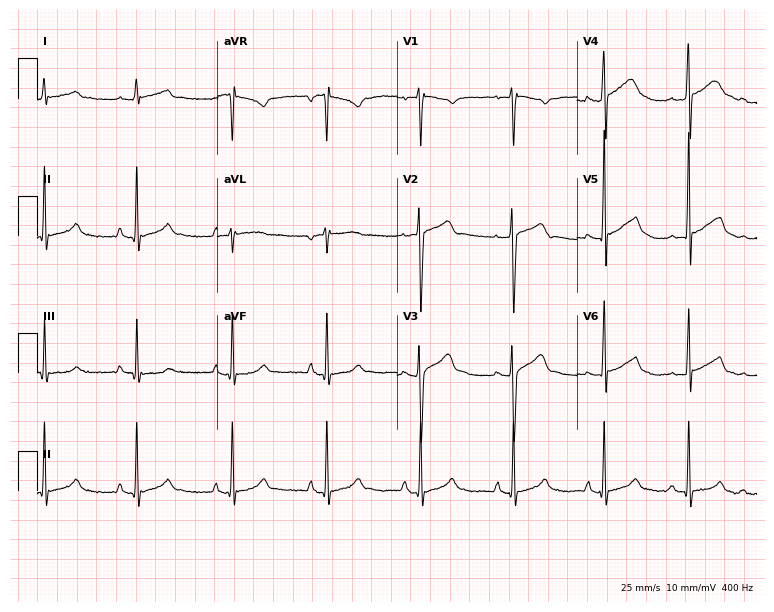
ECG (7.3-second recording at 400 Hz) — a 20-year-old man. Labelled as a normal ECG.